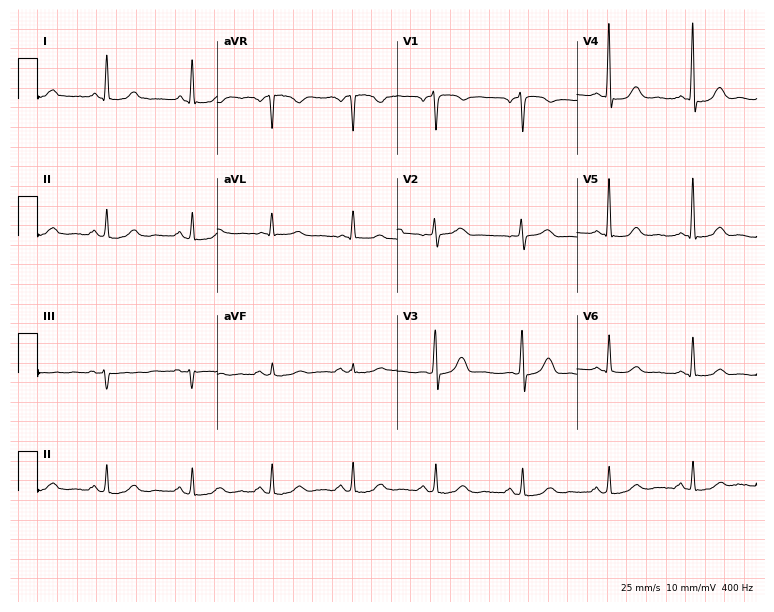
Resting 12-lead electrocardiogram (7.3-second recording at 400 Hz). Patient: a 58-year-old woman. None of these six findings is recorded: first-degree AV block, right bundle branch block, left bundle branch block, sinus bradycardia, atrial fibrillation, sinus tachycardia.